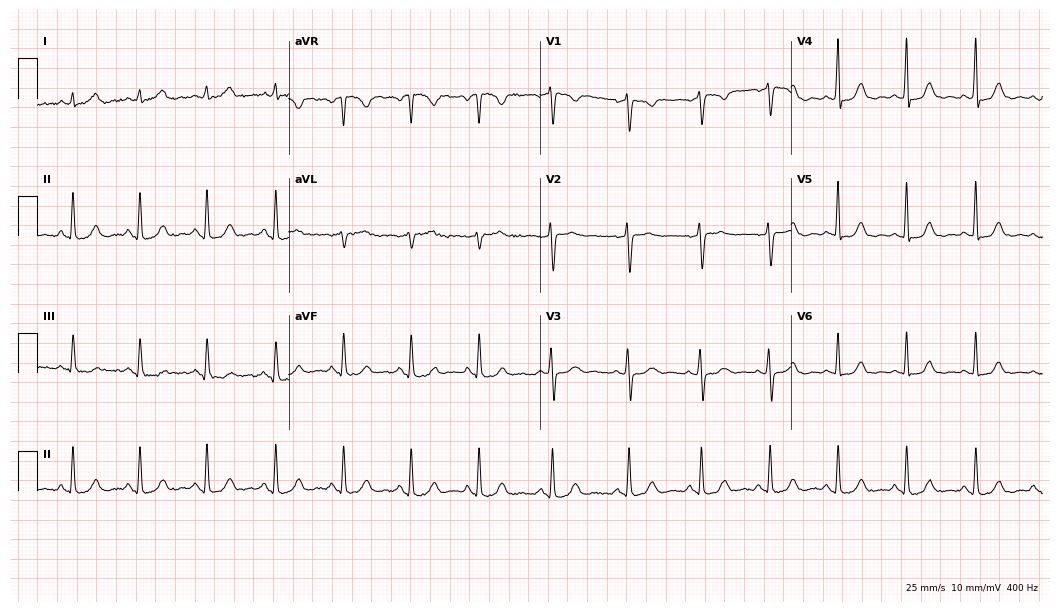
ECG (10.2-second recording at 400 Hz) — a 42-year-old female. Labelled as a normal ECG.